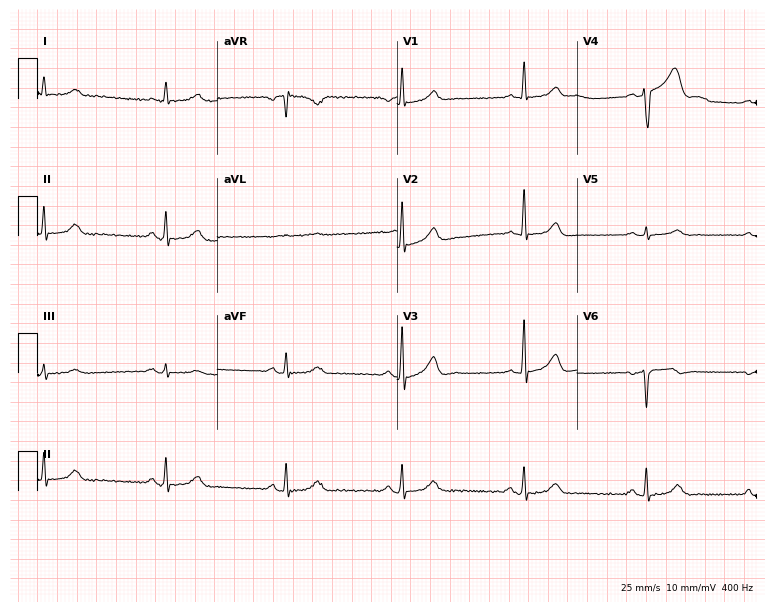
Electrocardiogram, a male patient, 59 years old. Of the six screened findings (first-degree AV block, right bundle branch block (RBBB), left bundle branch block (LBBB), sinus bradycardia, atrial fibrillation (AF), sinus tachycardia), none is recorded. Only these six findings were labelled.